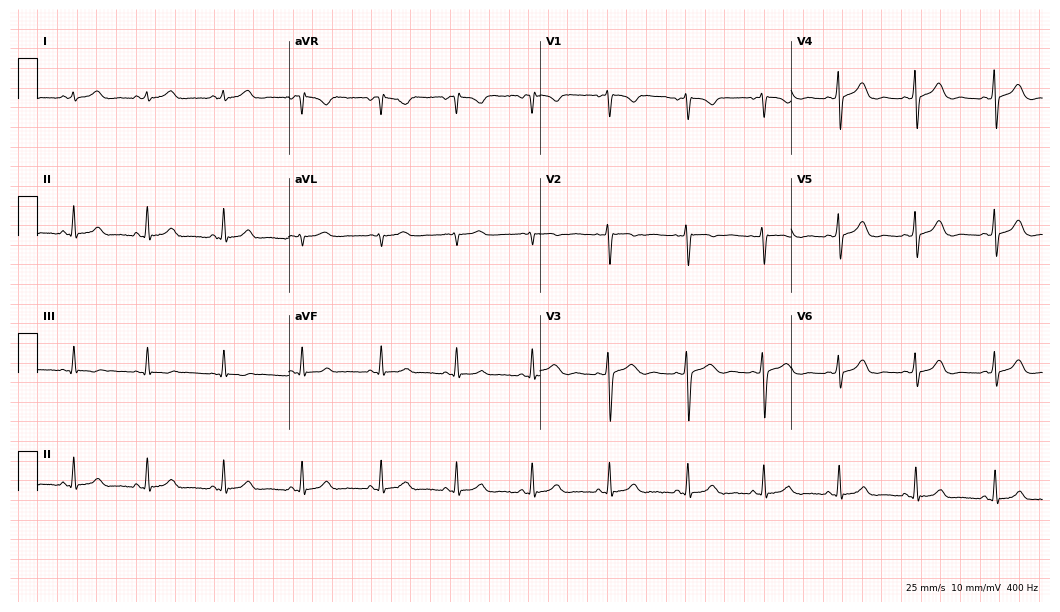
Resting 12-lead electrocardiogram (10.2-second recording at 400 Hz). Patient: a 22-year-old female. None of these six findings is recorded: first-degree AV block, right bundle branch block, left bundle branch block, sinus bradycardia, atrial fibrillation, sinus tachycardia.